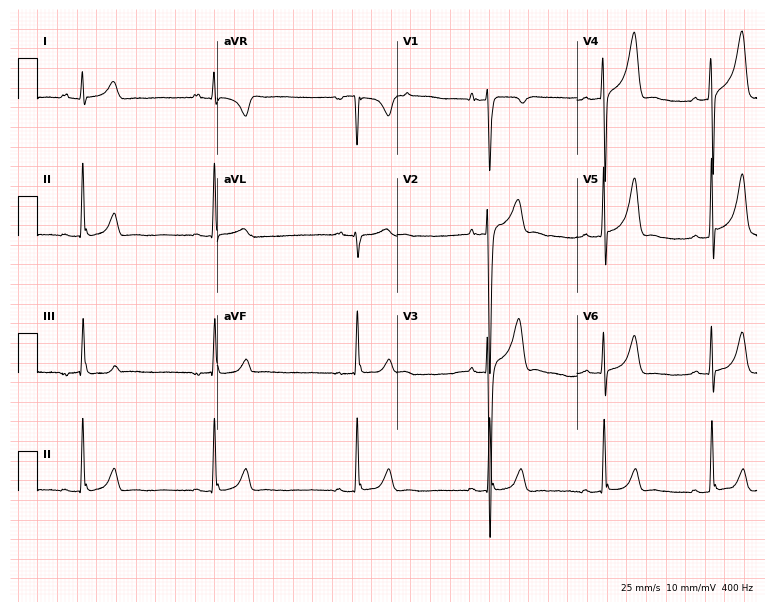
ECG — a male, 27 years old. Findings include sinus bradycardia (a sinus rate of 50 beats per minute or less).